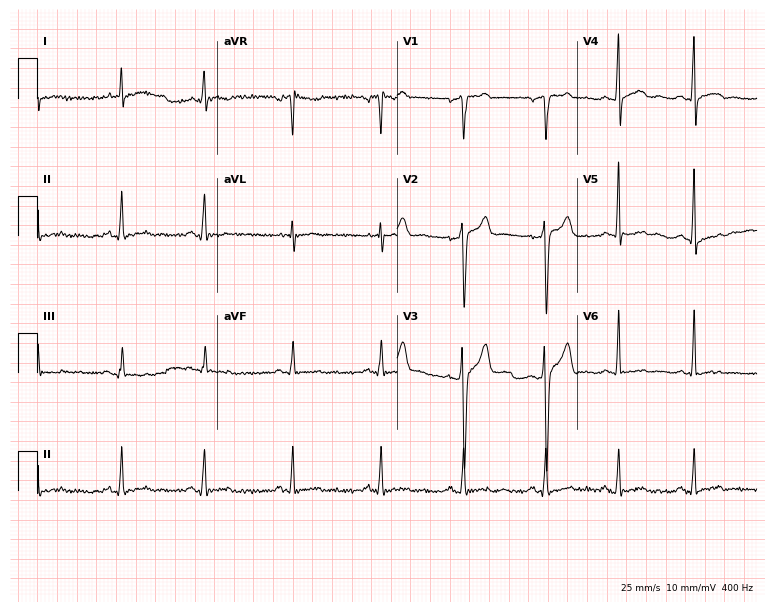
12-lead ECG (7.3-second recording at 400 Hz) from a 34-year-old man. Screened for six findings — first-degree AV block, right bundle branch block (RBBB), left bundle branch block (LBBB), sinus bradycardia, atrial fibrillation (AF), sinus tachycardia — none is recorded. Other findings, if any, are not listed.